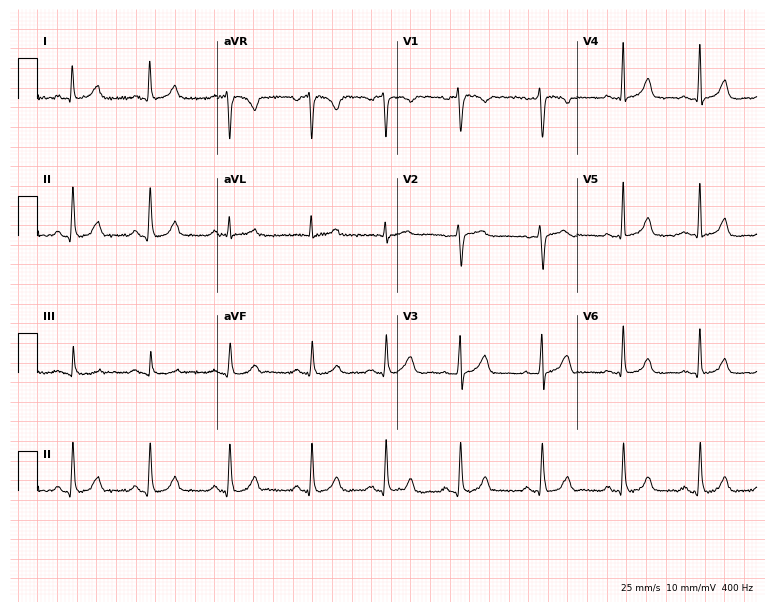
12-lead ECG from a female patient, 52 years old (7.3-second recording at 400 Hz). Recorded interpretation: within normal limits.